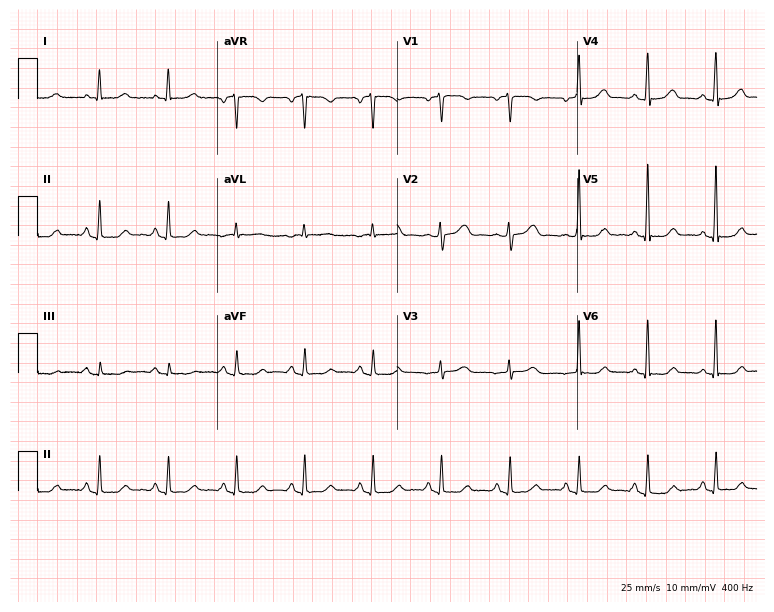
Electrocardiogram (7.3-second recording at 400 Hz), a 61-year-old woman. Overall reading on record: normal ECG.